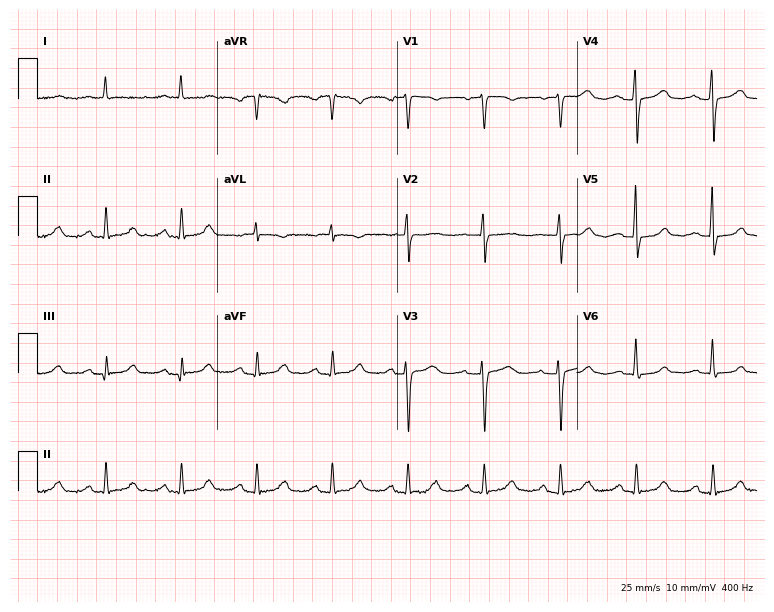
Resting 12-lead electrocardiogram. Patient: a female, 79 years old. None of these six findings is recorded: first-degree AV block, right bundle branch block (RBBB), left bundle branch block (LBBB), sinus bradycardia, atrial fibrillation (AF), sinus tachycardia.